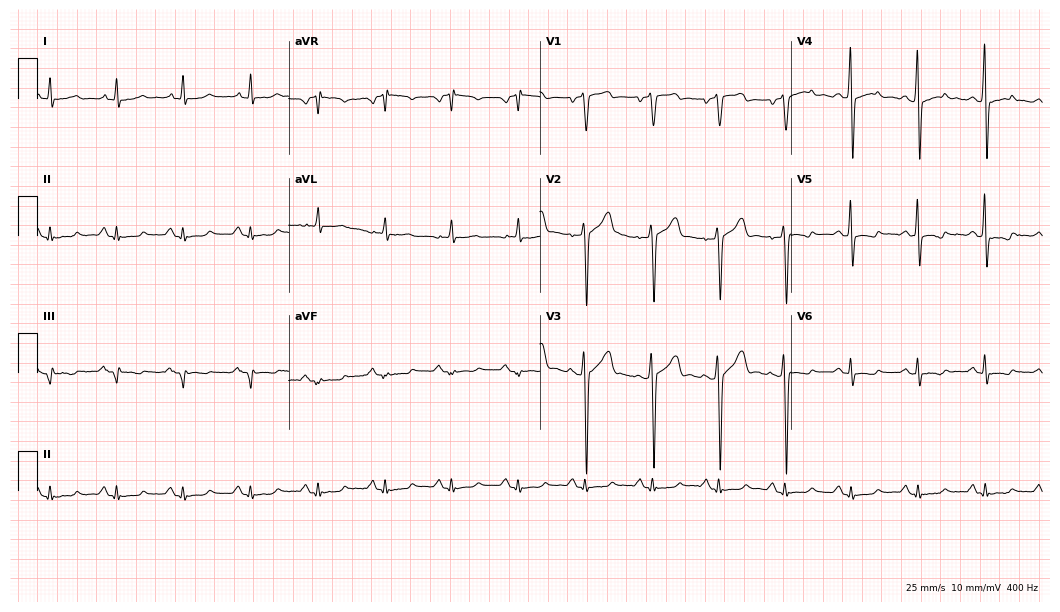
Standard 12-lead ECG recorded from a male patient, 62 years old. None of these six findings is recorded: first-degree AV block, right bundle branch block (RBBB), left bundle branch block (LBBB), sinus bradycardia, atrial fibrillation (AF), sinus tachycardia. Findings outside these six are not listed.